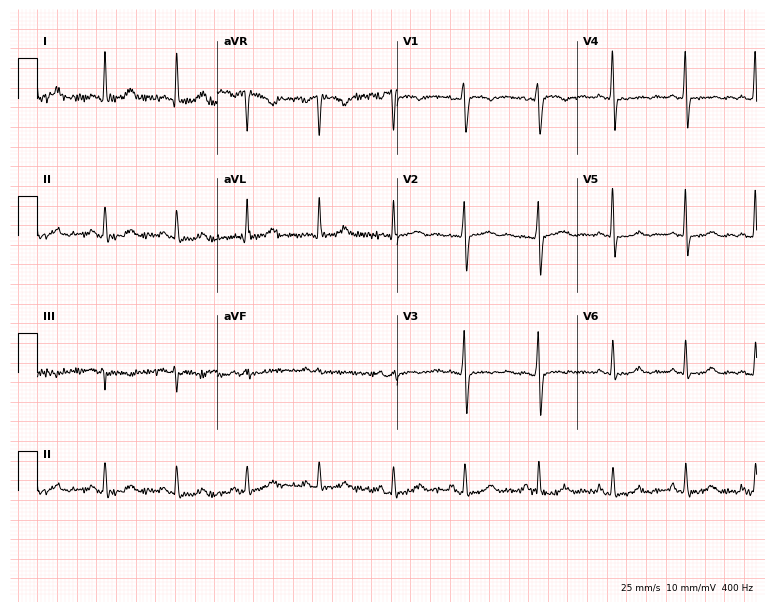
Resting 12-lead electrocardiogram. Patient: a female, 53 years old. None of these six findings is recorded: first-degree AV block, right bundle branch block, left bundle branch block, sinus bradycardia, atrial fibrillation, sinus tachycardia. Findings outside these six are not listed.